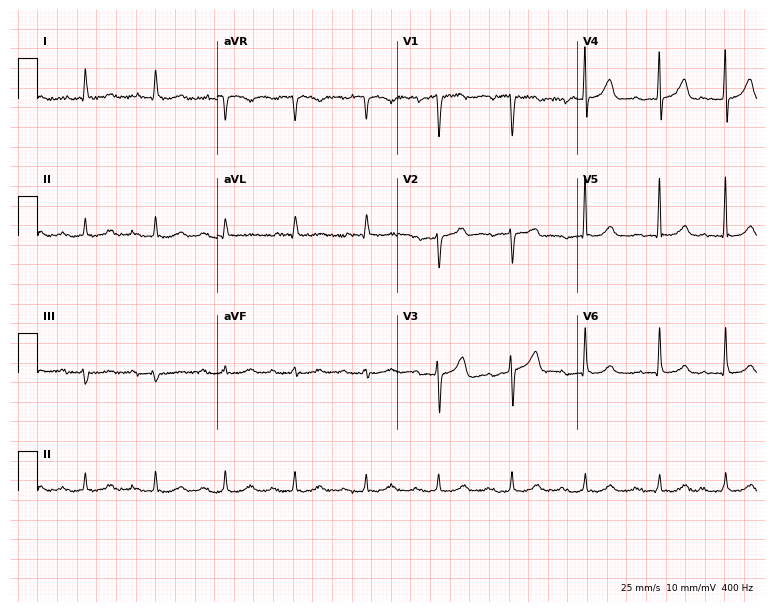
Resting 12-lead electrocardiogram (7.3-second recording at 400 Hz). Patient: an 80-year-old man. The tracing shows first-degree AV block.